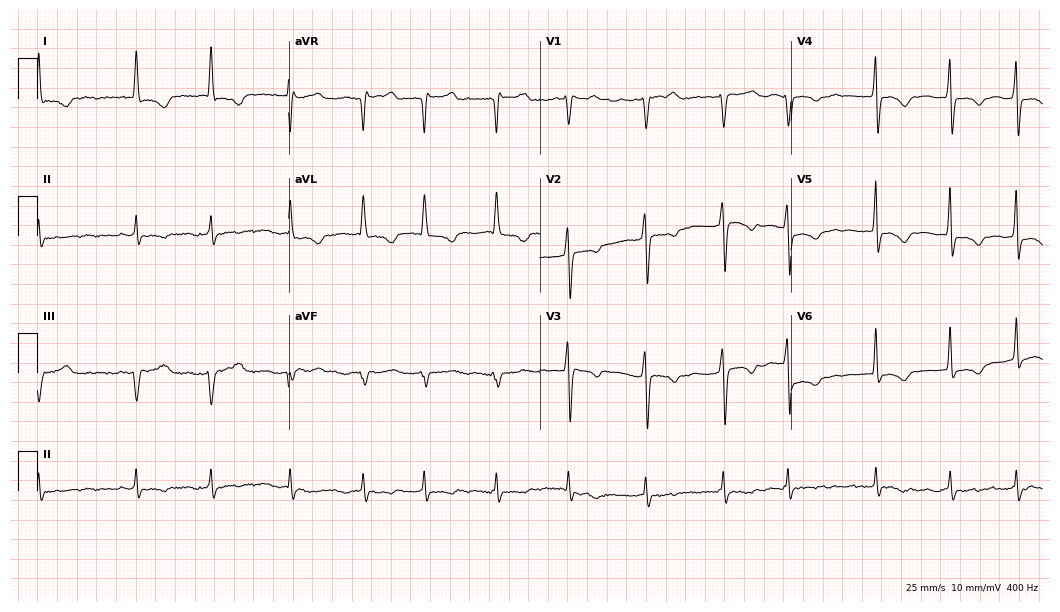
Electrocardiogram, a woman, 70 years old. Interpretation includes atrial fibrillation (AF).